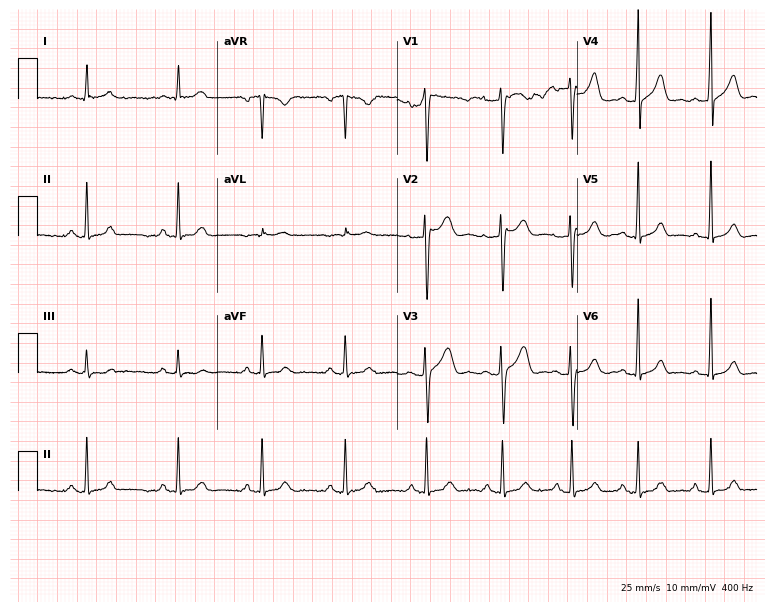
Electrocardiogram, a male, 29 years old. Of the six screened findings (first-degree AV block, right bundle branch block, left bundle branch block, sinus bradycardia, atrial fibrillation, sinus tachycardia), none is recorded. Findings outside these six are not listed.